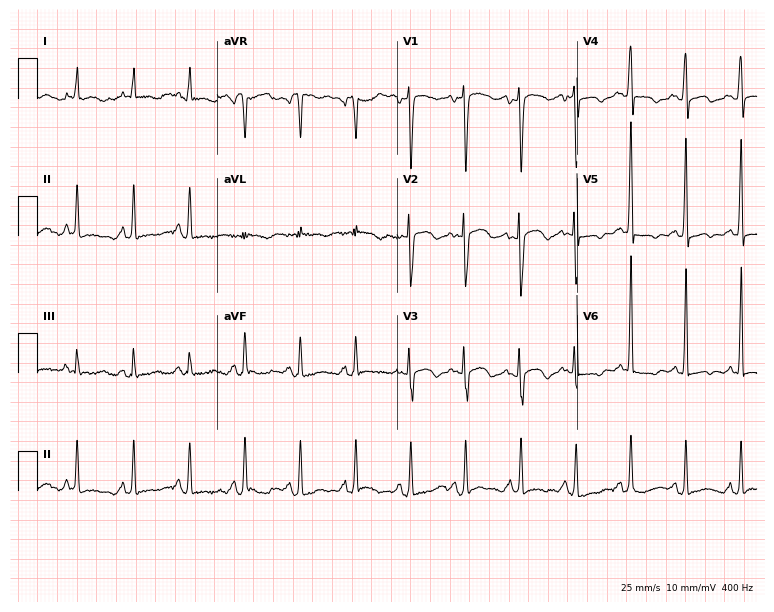
ECG — a 73-year-old woman. Findings include sinus tachycardia (a sinus rate of 100 beats per minute or more).